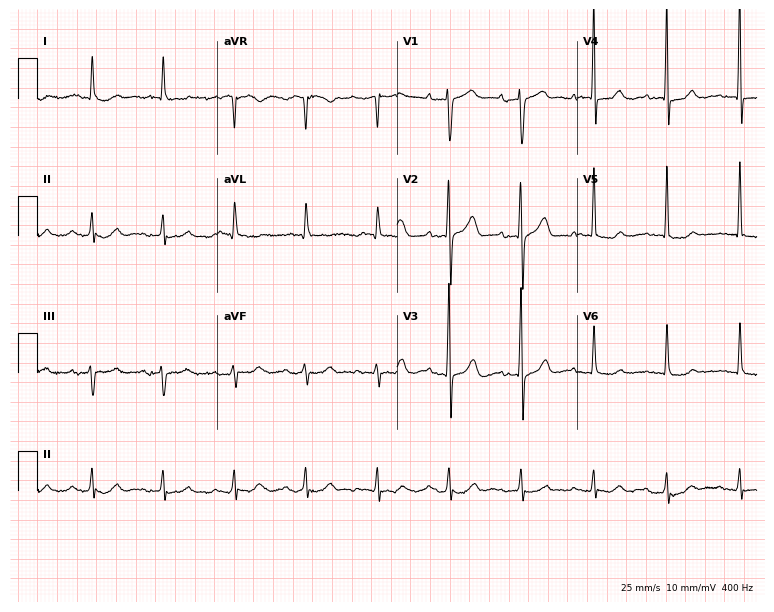
Resting 12-lead electrocardiogram. Patient: a male, 80 years old. None of these six findings is recorded: first-degree AV block, right bundle branch block, left bundle branch block, sinus bradycardia, atrial fibrillation, sinus tachycardia. Findings outside these six are not listed.